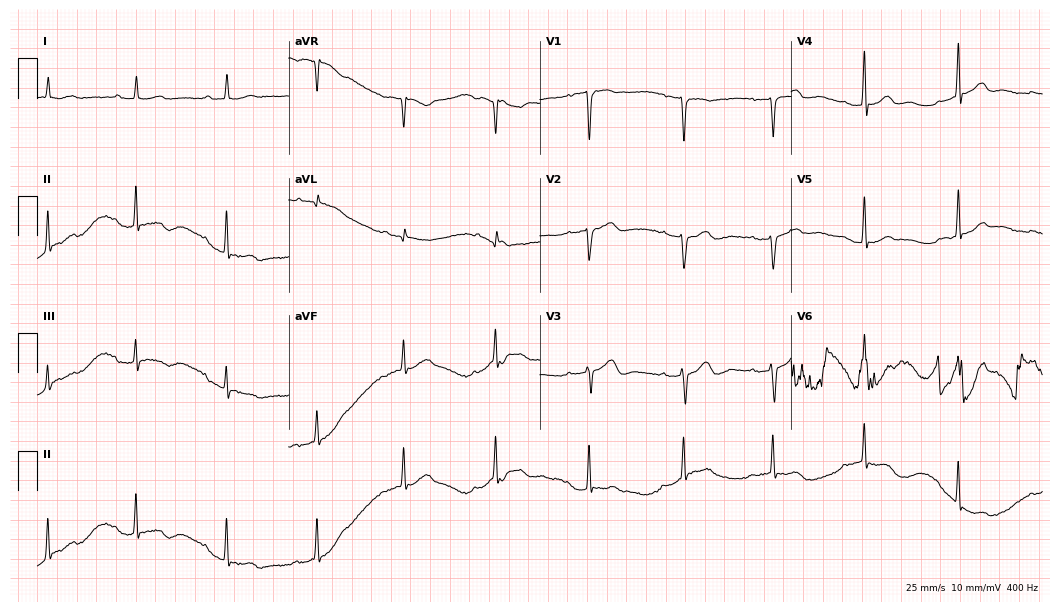
ECG (10.2-second recording at 400 Hz) — a female patient, 72 years old. Findings include first-degree AV block.